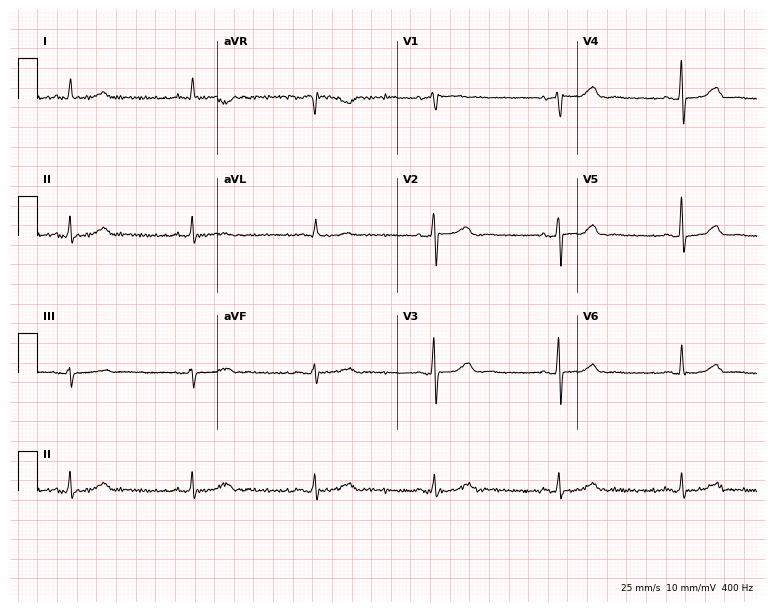
12-lead ECG from a female, 67 years old. Findings include sinus bradycardia (a sinus rate of 50 beats per minute or less).